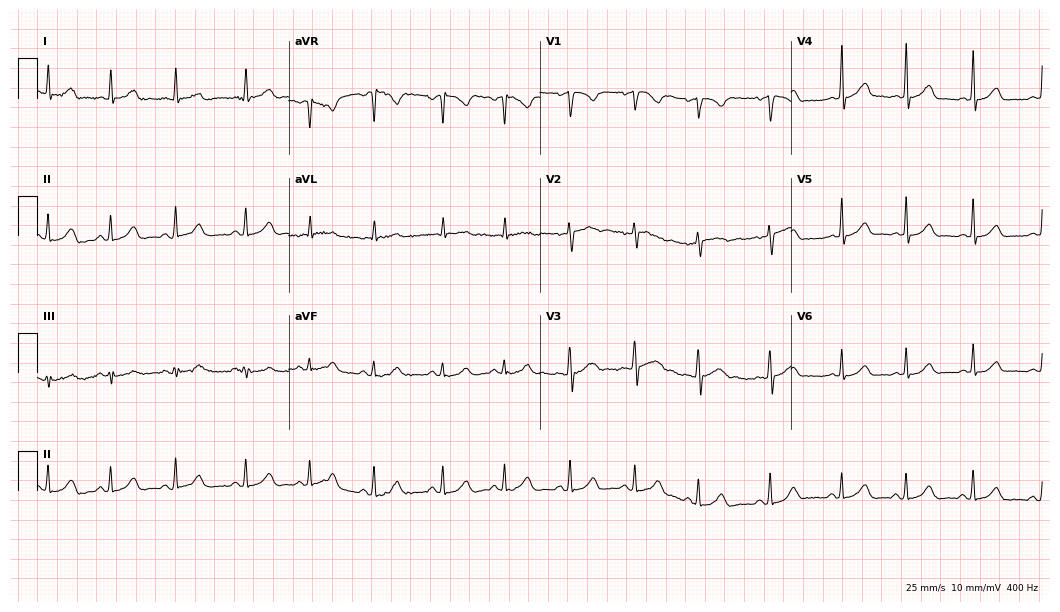
12-lead ECG (10.2-second recording at 400 Hz) from a woman, 22 years old. Labelled as a normal ECG.